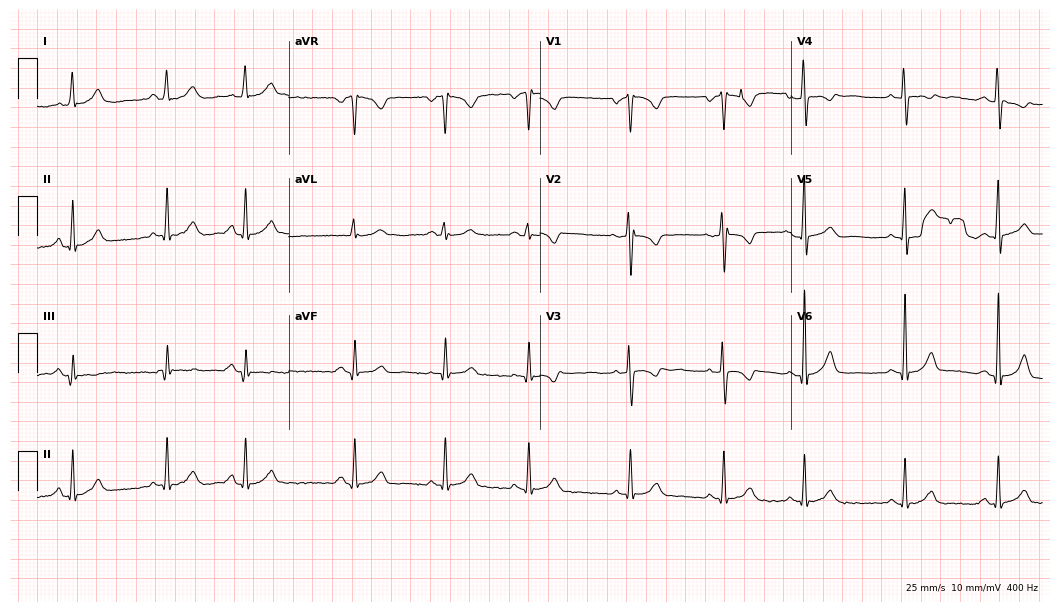
Electrocardiogram (10.2-second recording at 400 Hz), a 32-year-old female patient. Overall reading on record: normal ECG.